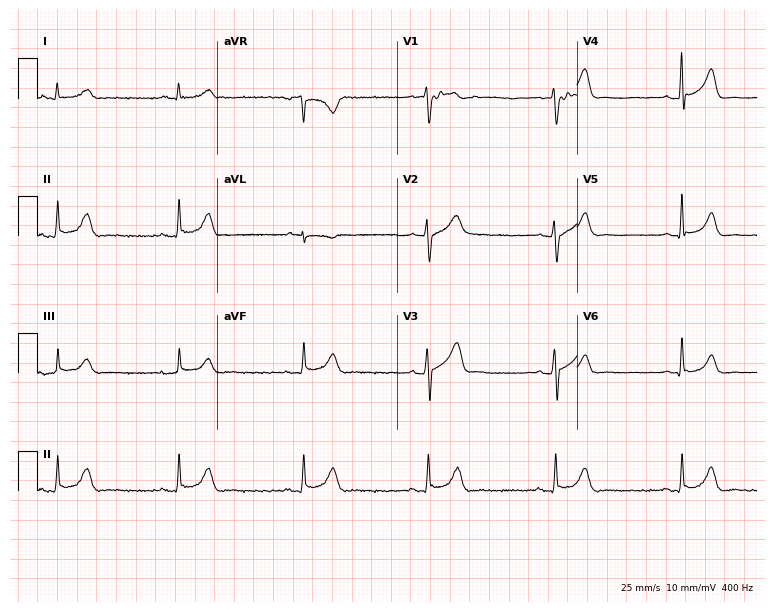
Electrocardiogram (7.3-second recording at 400 Hz), a 46-year-old male. Interpretation includes sinus bradycardia (a sinus rate of 50 beats per minute or less).